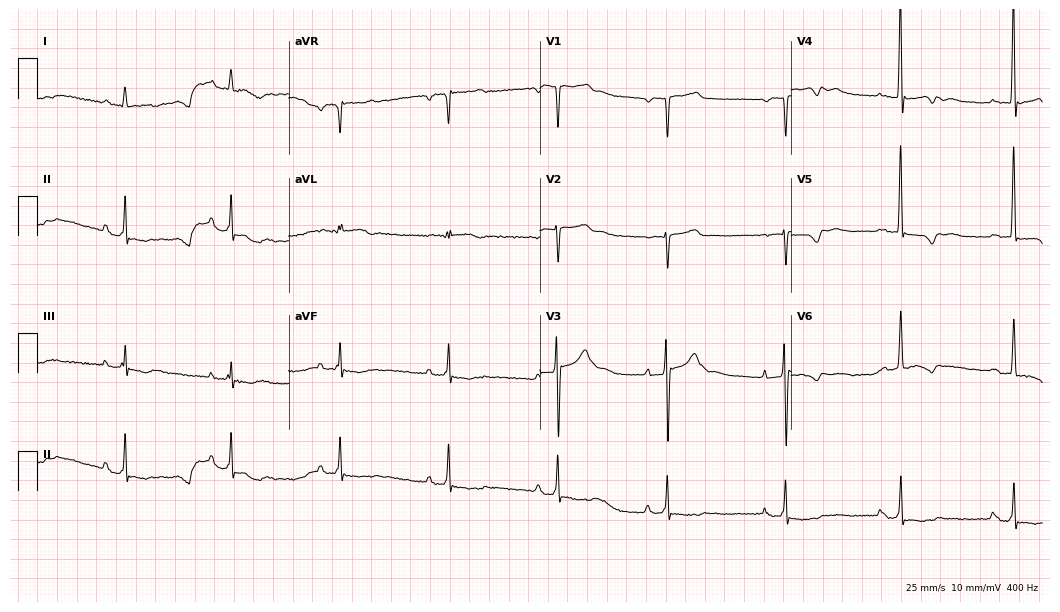
12-lead ECG from a male patient, 76 years old. No first-degree AV block, right bundle branch block, left bundle branch block, sinus bradycardia, atrial fibrillation or sinus tachycardia recorded for this tracing. Findings outside these six are not listed.